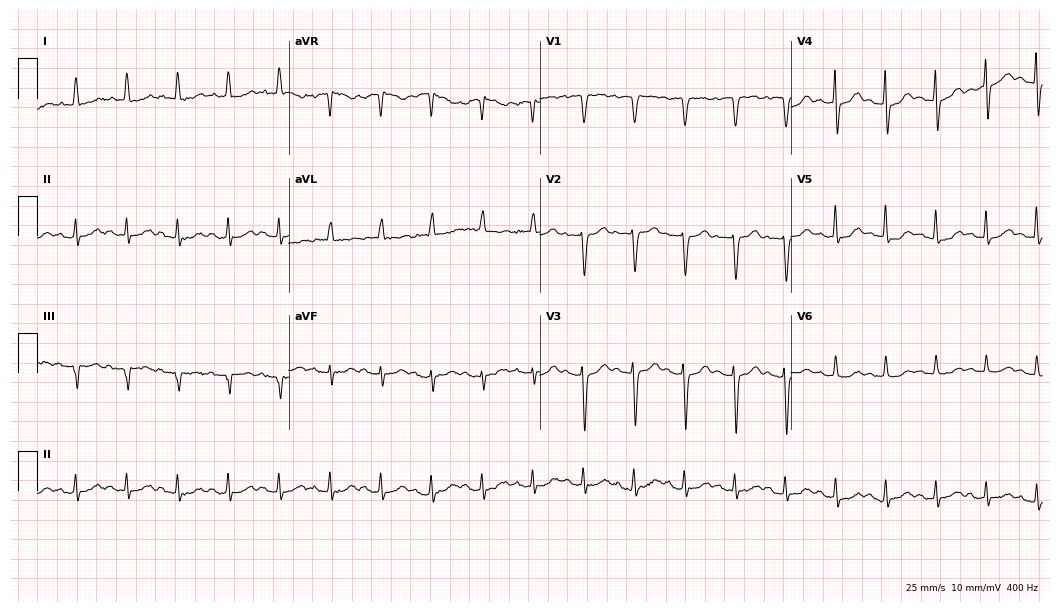
Electrocardiogram, an 82-year-old woman. Interpretation includes sinus tachycardia (a sinus rate of 100 beats per minute or more).